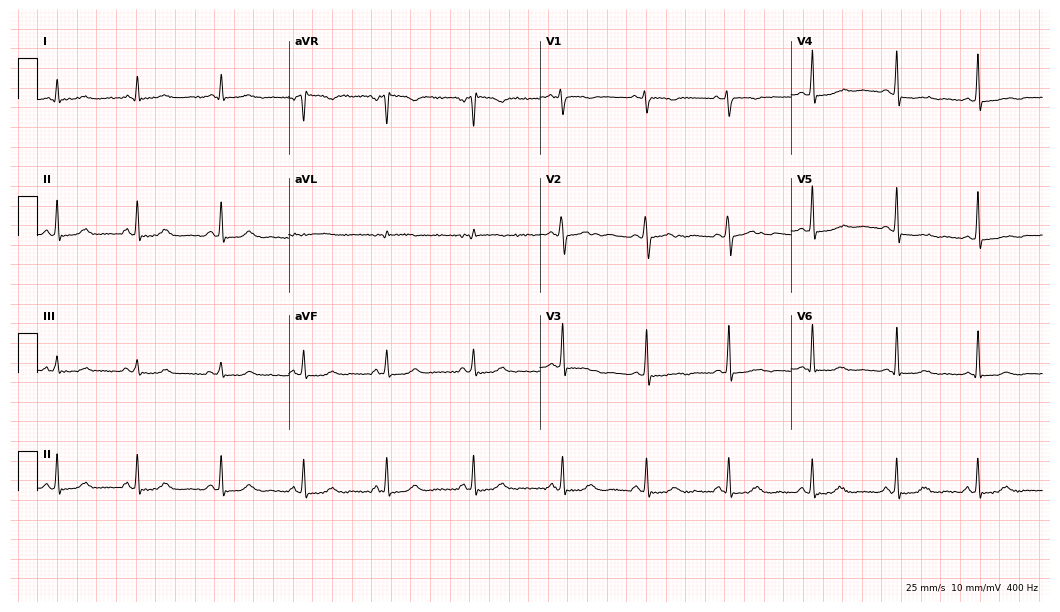
12-lead ECG from a female patient, 38 years old. Screened for six findings — first-degree AV block, right bundle branch block, left bundle branch block, sinus bradycardia, atrial fibrillation, sinus tachycardia — none is recorded. Findings outside these six are not listed.